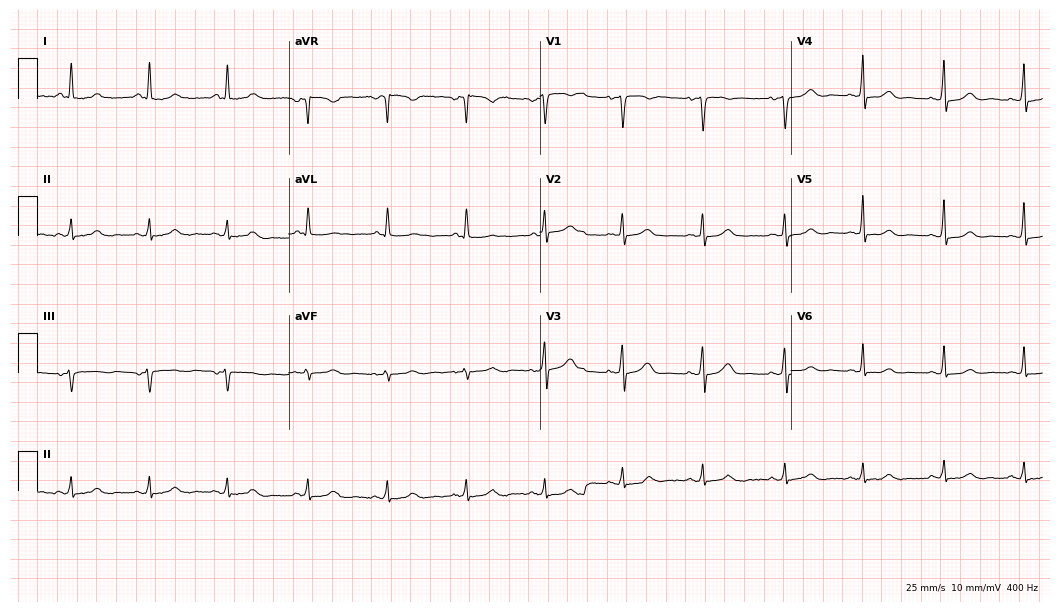
Standard 12-lead ECG recorded from a female patient, 60 years old (10.2-second recording at 400 Hz). Read as a normal ECG.